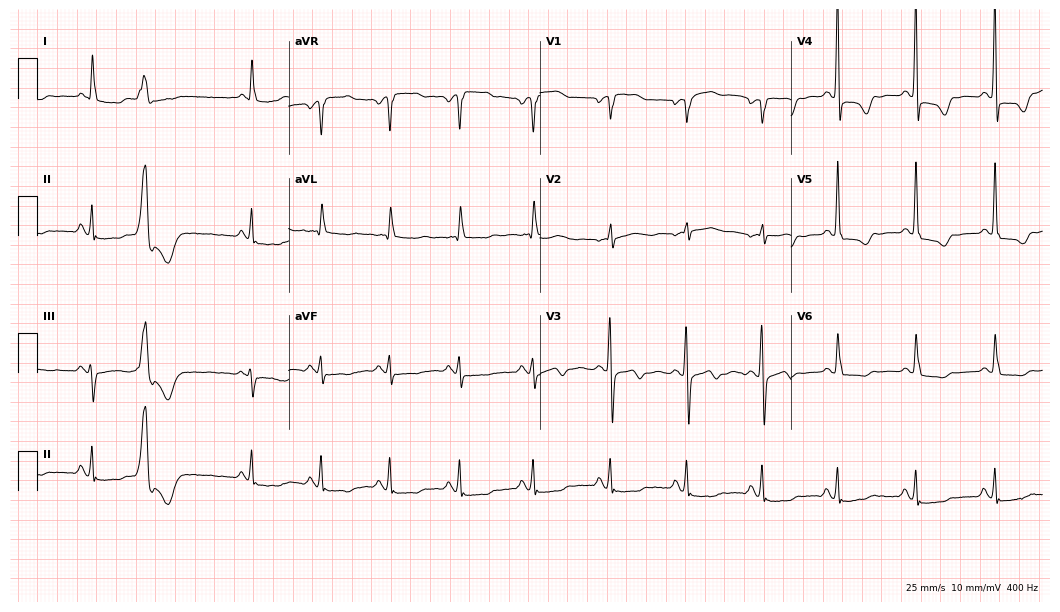
ECG (10.2-second recording at 400 Hz) — an 83-year-old woman. Screened for six findings — first-degree AV block, right bundle branch block, left bundle branch block, sinus bradycardia, atrial fibrillation, sinus tachycardia — none is recorded.